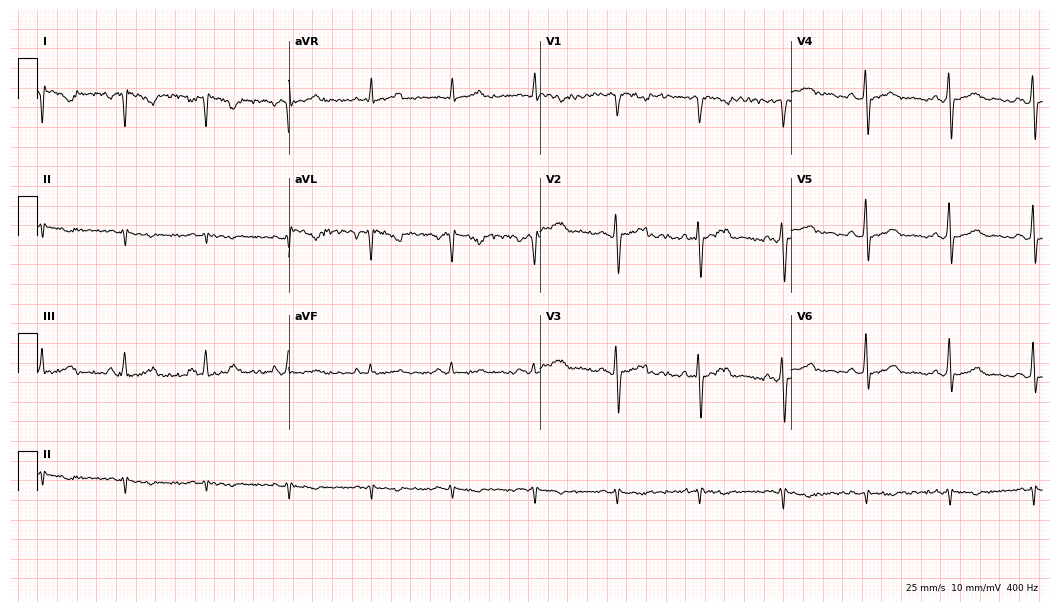
12-lead ECG from a 32-year-old female. No first-degree AV block, right bundle branch block (RBBB), left bundle branch block (LBBB), sinus bradycardia, atrial fibrillation (AF) or sinus tachycardia recorded for this tracing. Findings outside these six are not listed.